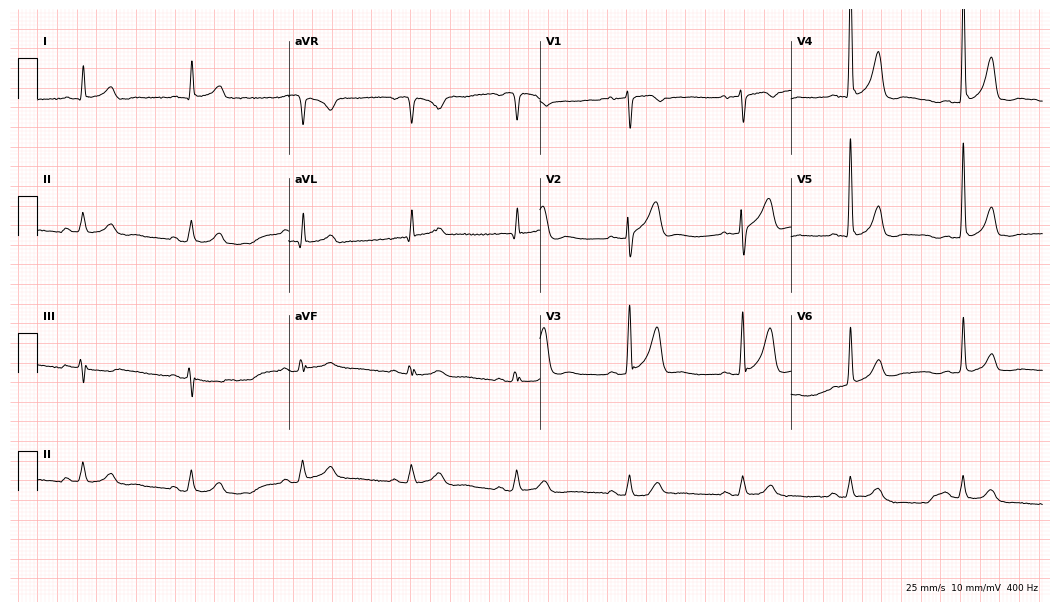
12-lead ECG (10.2-second recording at 400 Hz) from a man, 82 years old. Labelled as a normal ECG.